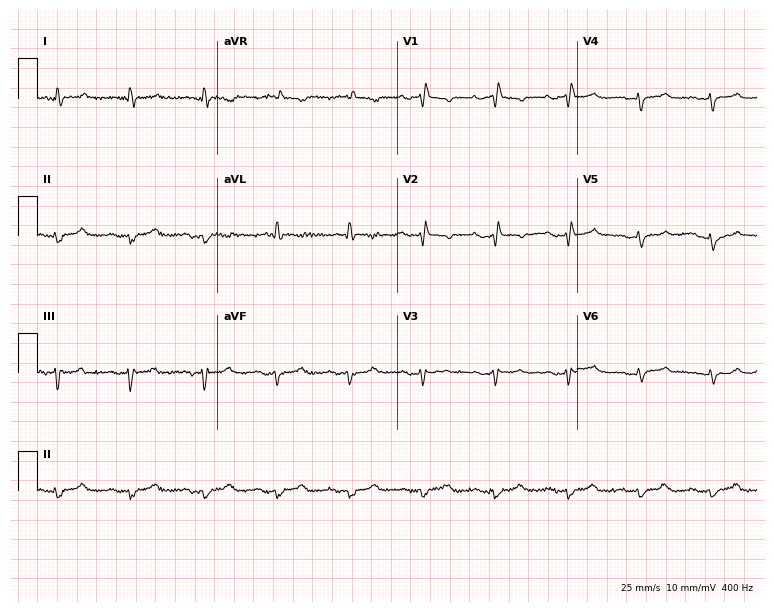
12-lead ECG from a female patient, 66 years old (7.3-second recording at 400 Hz). No first-degree AV block, right bundle branch block, left bundle branch block, sinus bradycardia, atrial fibrillation or sinus tachycardia recorded for this tracing. Findings outside these six are not listed.